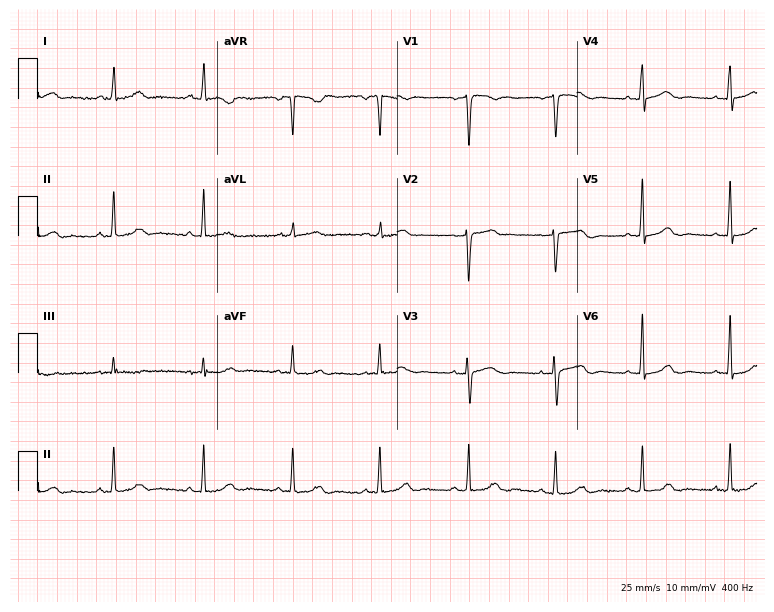
Resting 12-lead electrocardiogram. Patient: a woman, 57 years old. Read as a normal ECG.